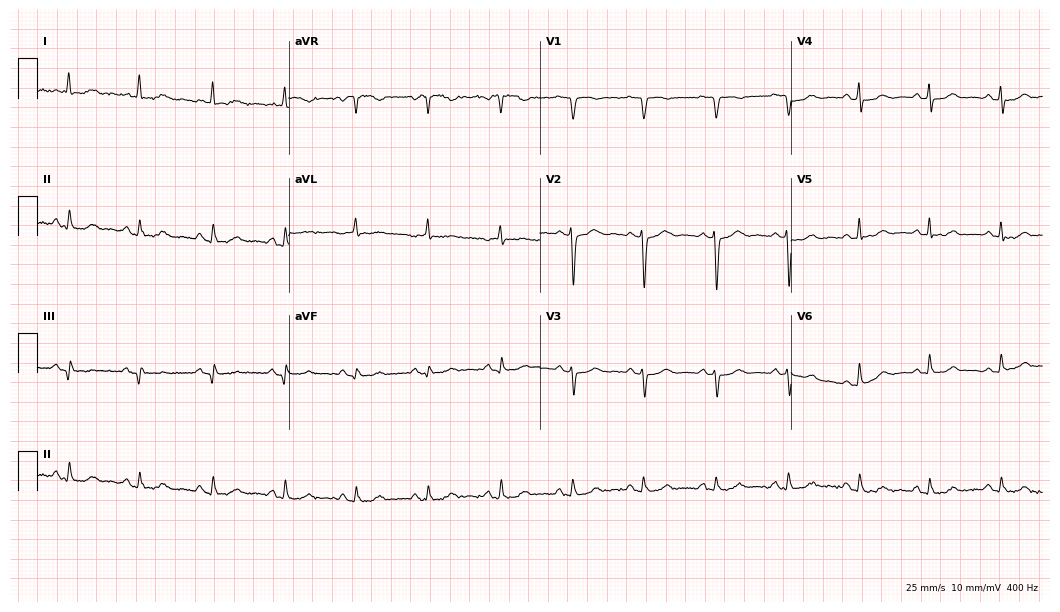
Standard 12-lead ECG recorded from a 72-year-old female (10.2-second recording at 400 Hz). Read as a normal ECG.